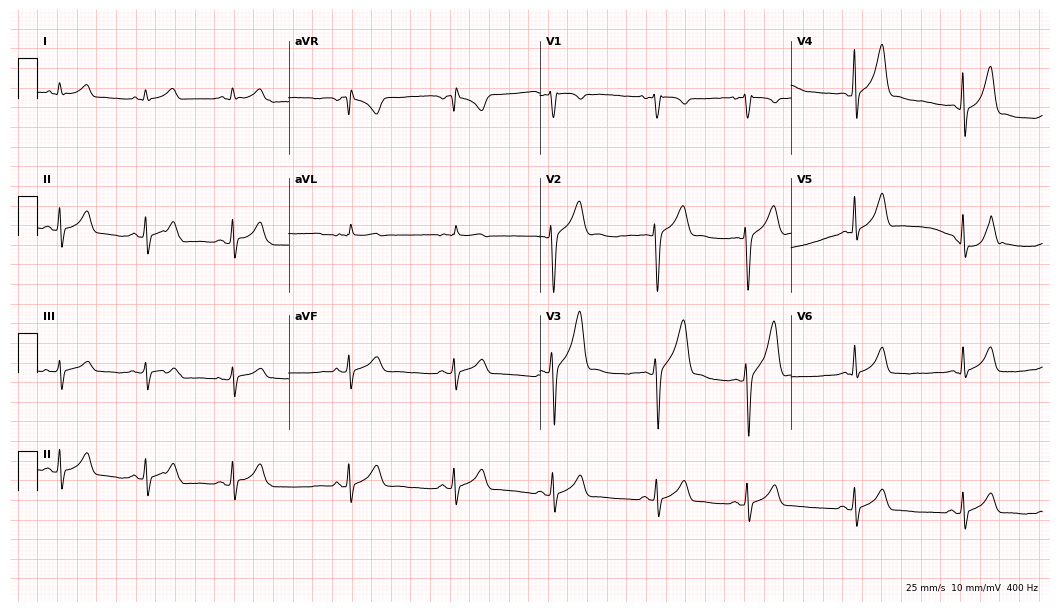
12-lead ECG from a 17-year-old male patient. Labelled as a normal ECG.